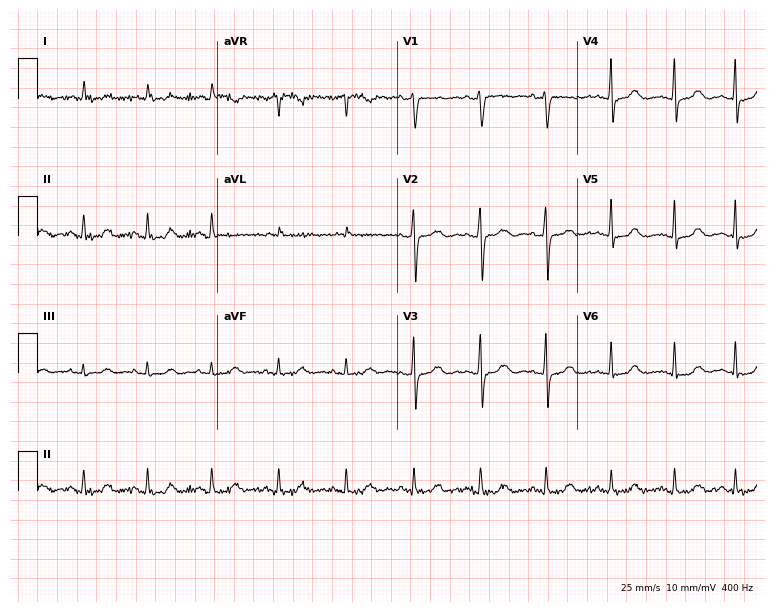
Resting 12-lead electrocardiogram. Patient: a 63-year-old female. None of these six findings is recorded: first-degree AV block, right bundle branch block, left bundle branch block, sinus bradycardia, atrial fibrillation, sinus tachycardia. Findings outside these six are not listed.